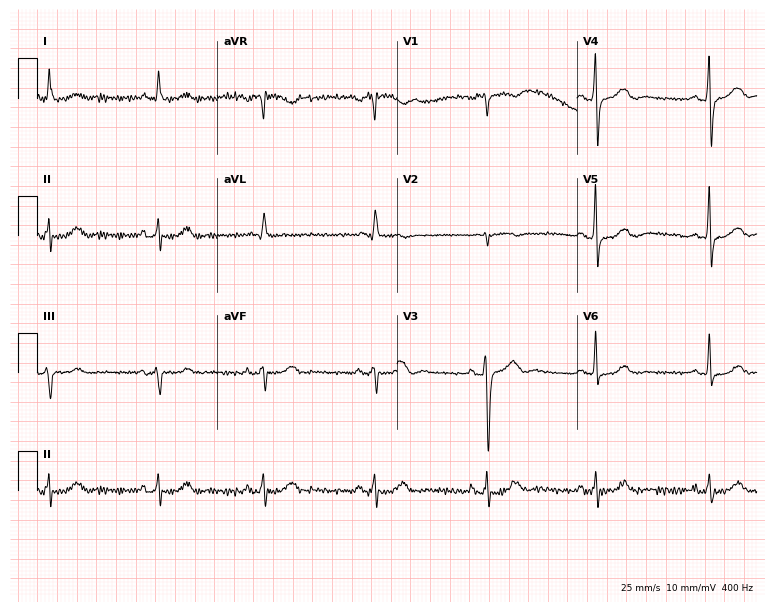
12-lead ECG (7.3-second recording at 400 Hz) from a man, 68 years old. Labelled as a normal ECG.